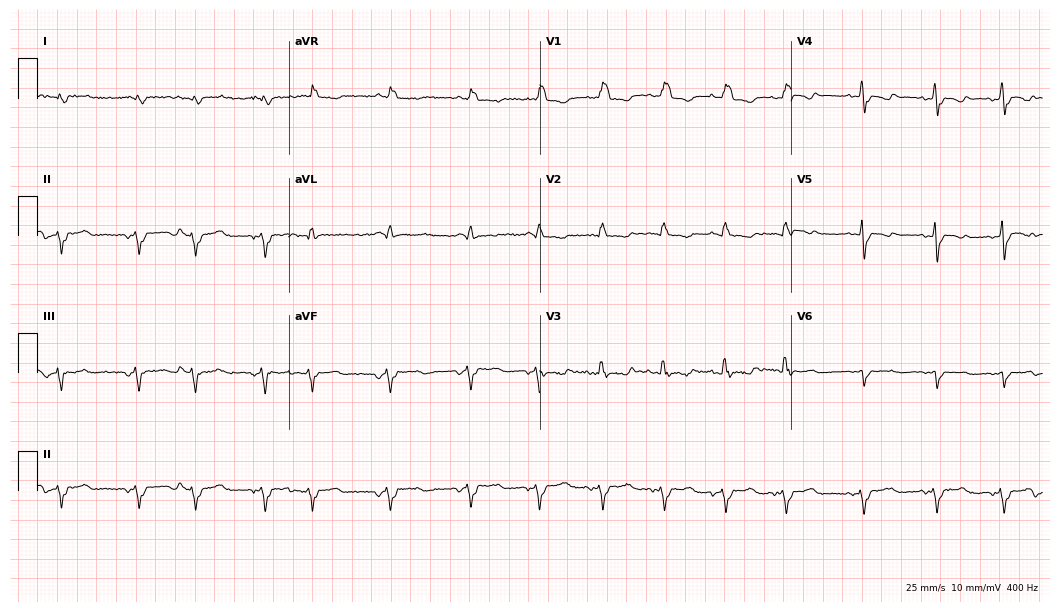
12-lead ECG (10.2-second recording at 400 Hz) from a male, 73 years old. Screened for six findings — first-degree AV block, right bundle branch block, left bundle branch block, sinus bradycardia, atrial fibrillation, sinus tachycardia — none is recorded.